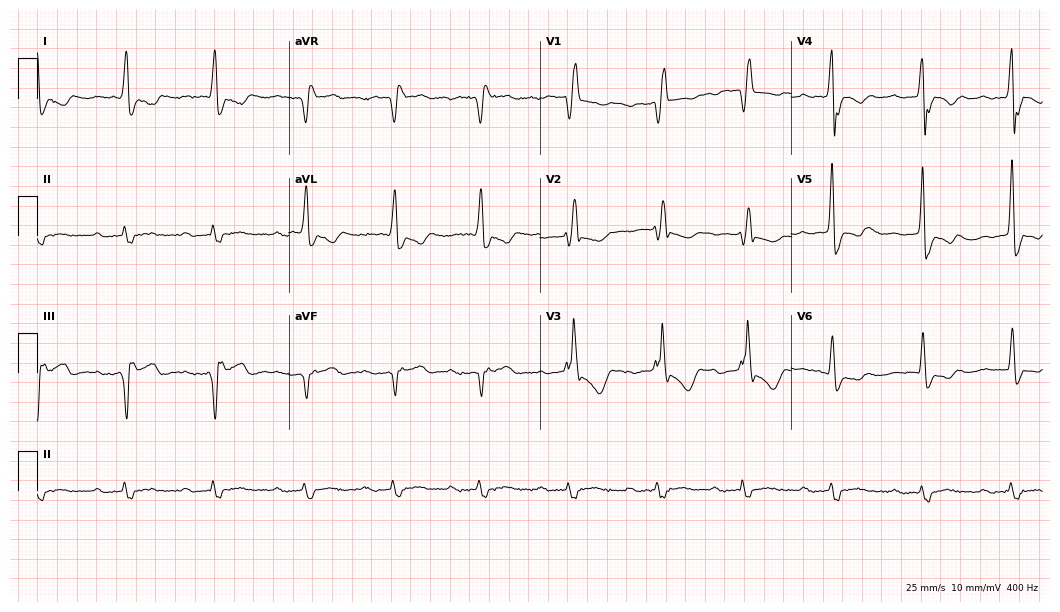
Standard 12-lead ECG recorded from a male patient, 85 years old (10.2-second recording at 400 Hz). The tracing shows first-degree AV block, right bundle branch block.